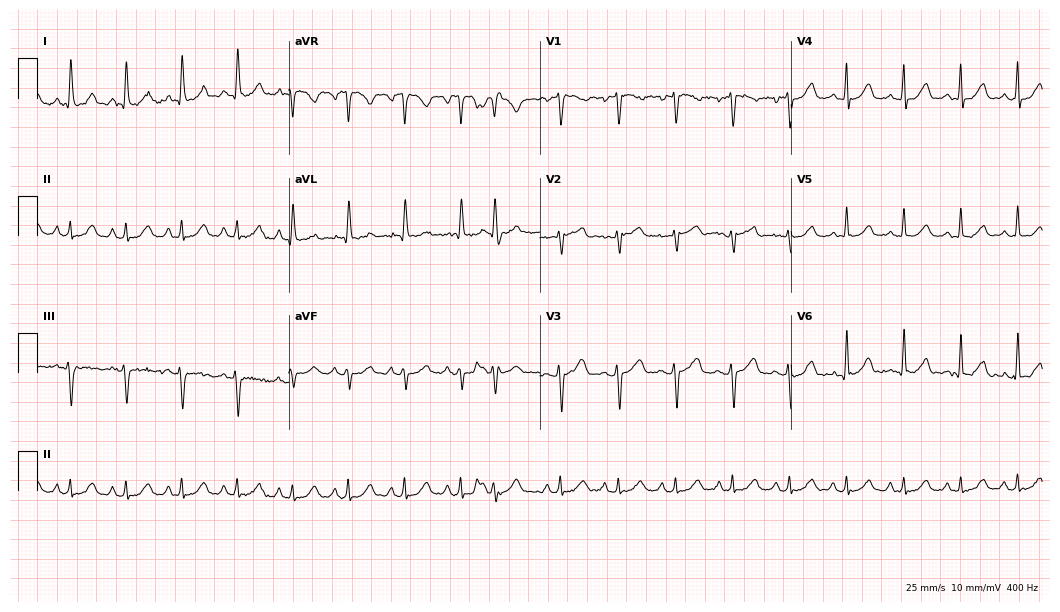
Standard 12-lead ECG recorded from a 67-year-old female (10.2-second recording at 400 Hz). The tracing shows sinus tachycardia (a sinus rate of 100 beats per minute or more).